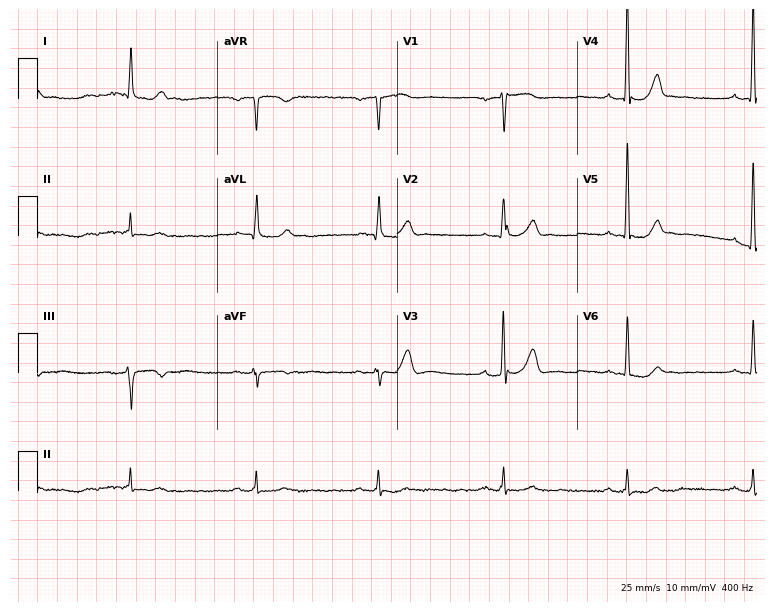
Electrocardiogram, a 66-year-old male. Overall reading on record: normal ECG.